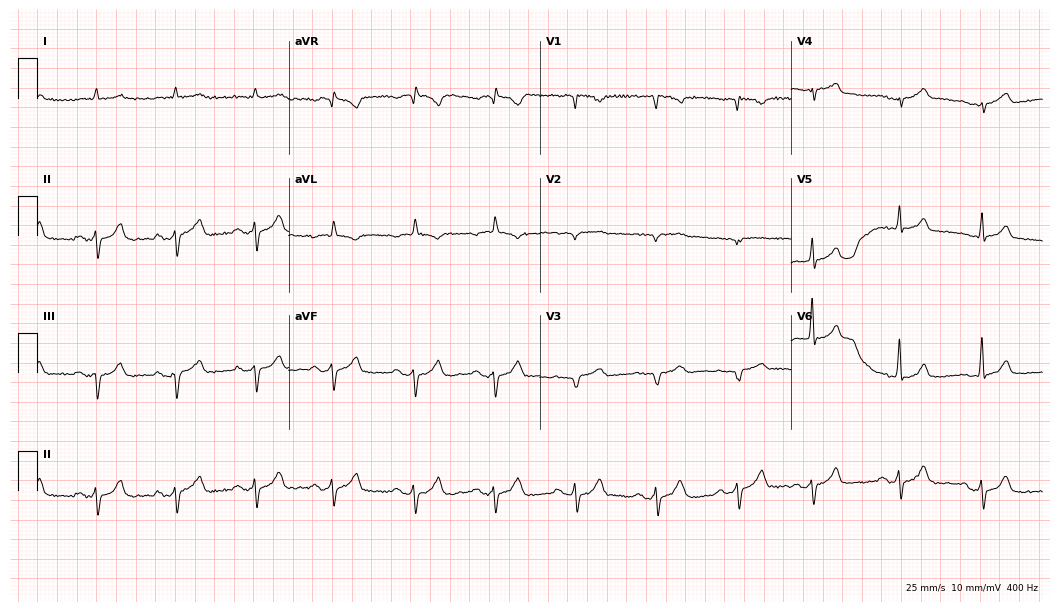
Resting 12-lead electrocardiogram. Patient: a 75-year-old male. None of these six findings is recorded: first-degree AV block, right bundle branch block (RBBB), left bundle branch block (LBBB), sinus bradycardia, atrial fibrillation (AF), sinus tachycardia.